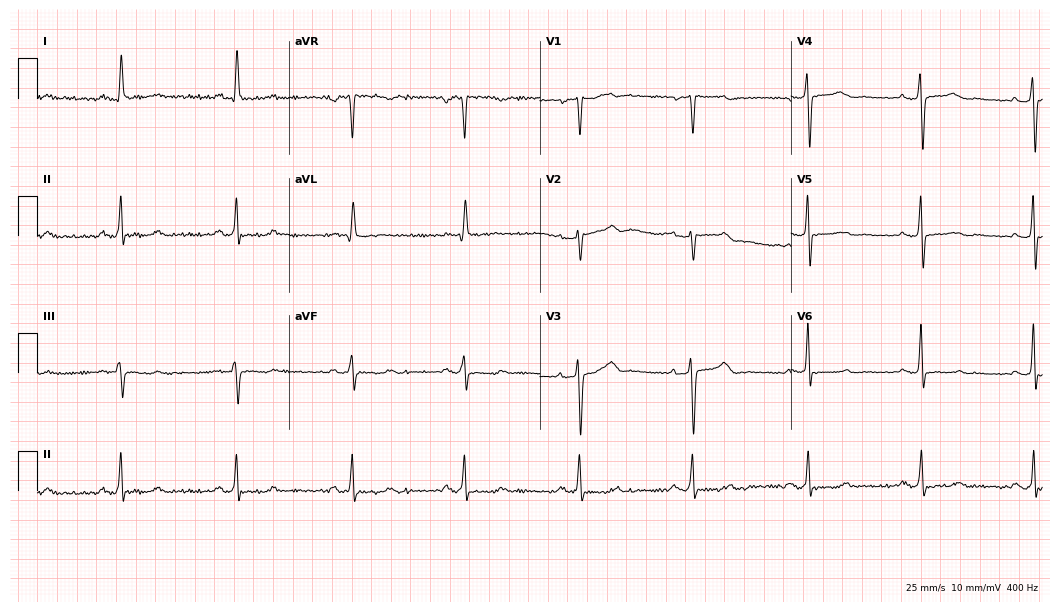
Standard 12-lead ECG recorded from a 53-year-old female (10.2-second recording at 400 Hz). None of these six findings is recorded: first-degree AV block, right bundle branch block, left bundle branch block, sinus bradycardia, atrial fibrillation, sinus tachycardia. Other findings, if any, are not listed.